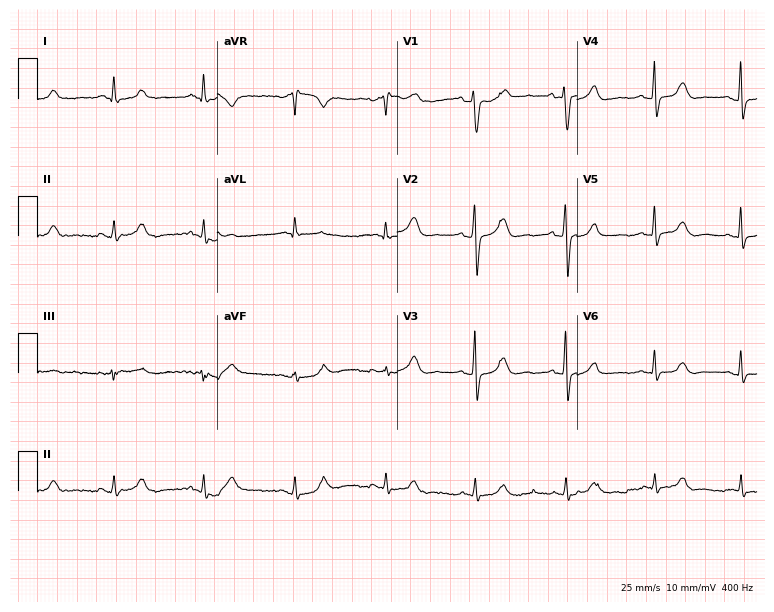
Electrocardiogram (7.3-second recording at 400 Hz), a 54-year-old female. Overall reading on record: normal ECG.